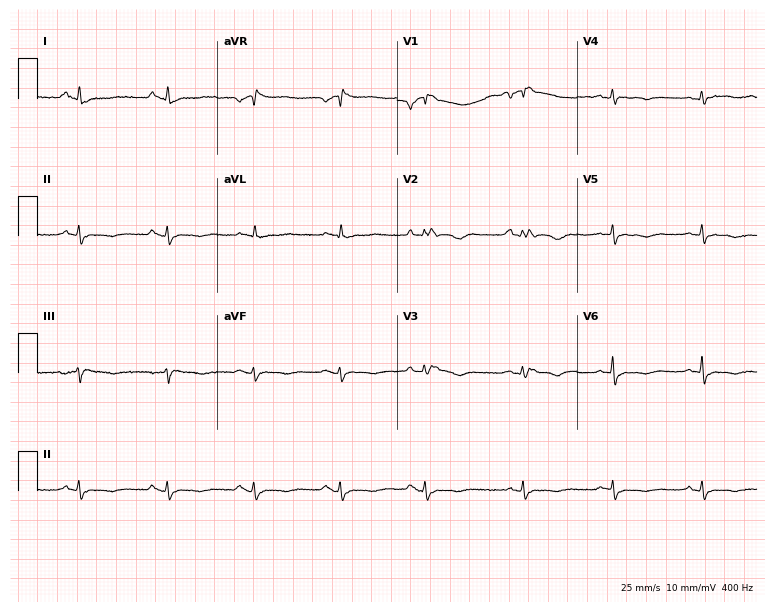
Electrocardiogram, a 68-year-old woman. Of the six screened findings (first-degree AV block, right bundle branch block, left bundle branch block, sinus bradycardia, atrial fibrillation, sinus tachycardia), none is recorded.